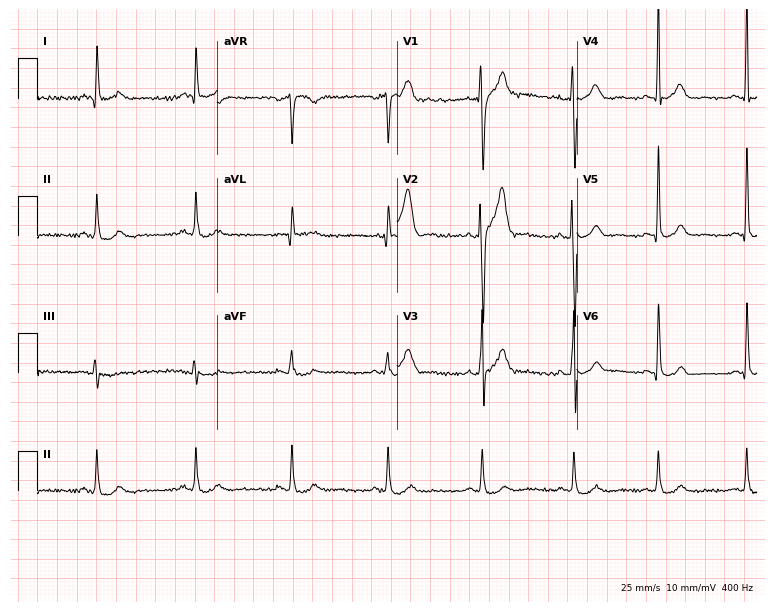
12-lead ECG from a 35-year-old male patient (7.3-second recording at 400 Hz). No first-degree AV block, right bundle branch block, left bundle branch block, sinus bradycardia, atrial fibrillation or sinus tachycardia recorded for this tracing.